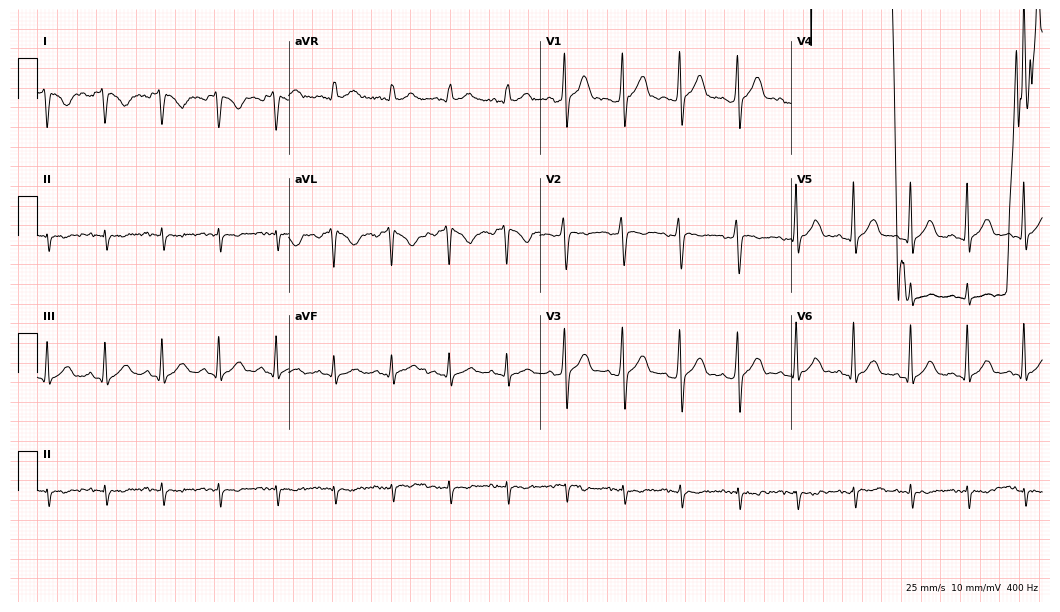
12-lead ECG from a male patient, 24 years old. No first-degree AV block, right bundle branch block, left bundle branch block, sinus bradycardia, atrial fibrillation or sinus tachycardia recorded for this tracing.